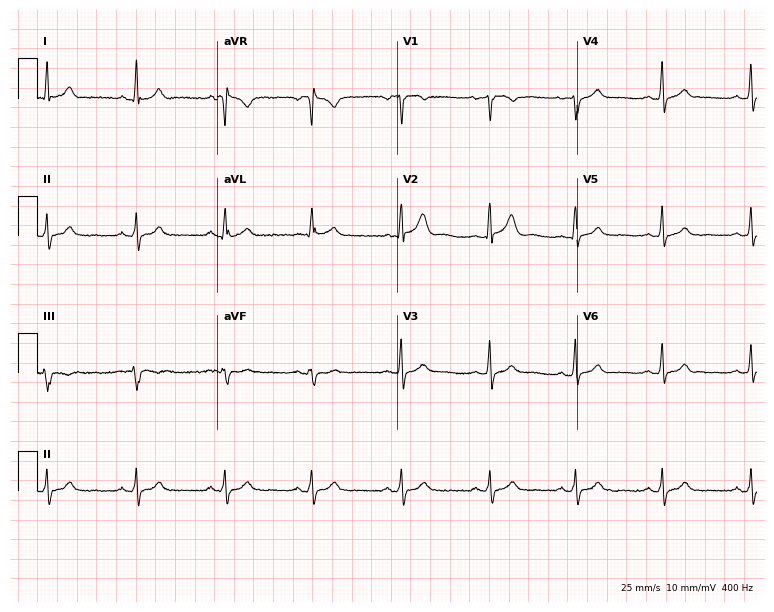
Resting 12-lead electrocardiogram (7.3-second recording at 400 Hz). Patient: a female, 32 years old. Read as a normal ECG.